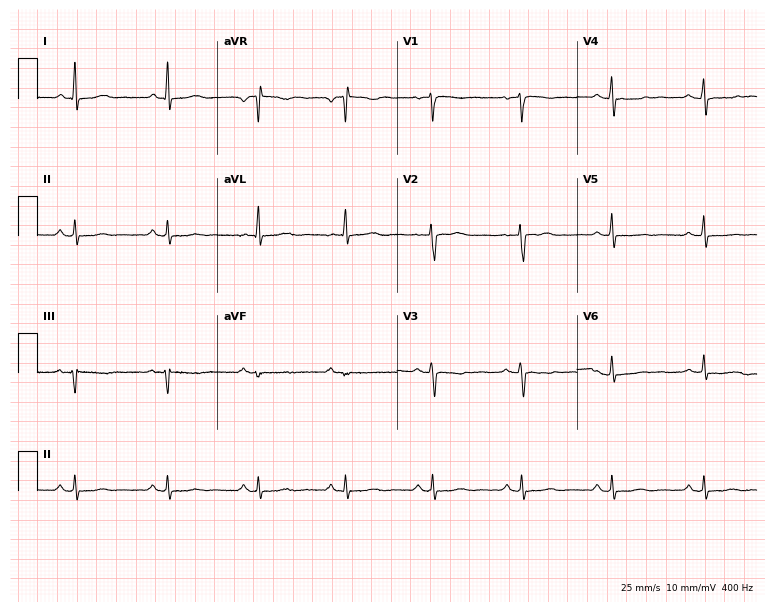
Electrocardiogram, a female patient, 58 years old. Of the six screened findings (first-degree AV block, right bundle branch block, left bundle branch block, sinus bradycardia, atrial fibrillation, sinus tachycardia), none is recorded.